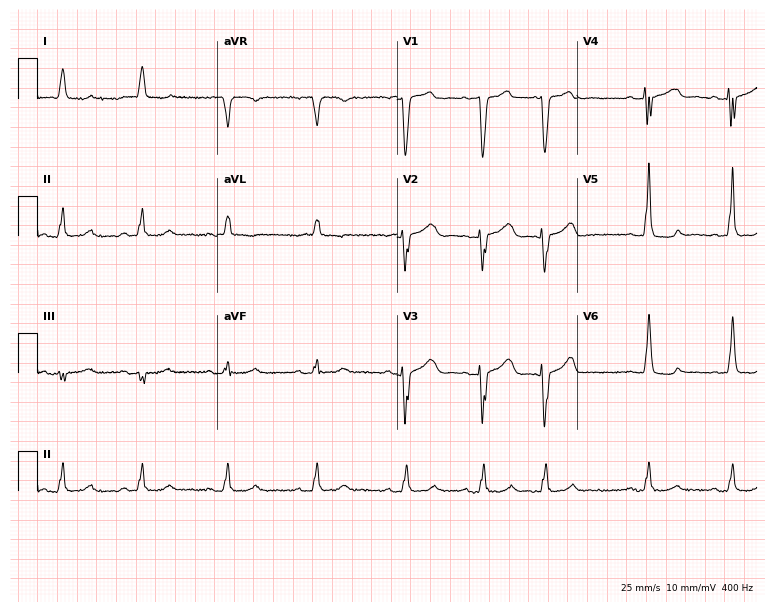
ECG — a female patient, 79 years old. Screened for six findings — first-degree AV block, right bundle branch block, left bundle branch block, sinus bradycardia, atrial fibrillation, sinus tachycardia — none is recorded. Only these six findings were labelled.